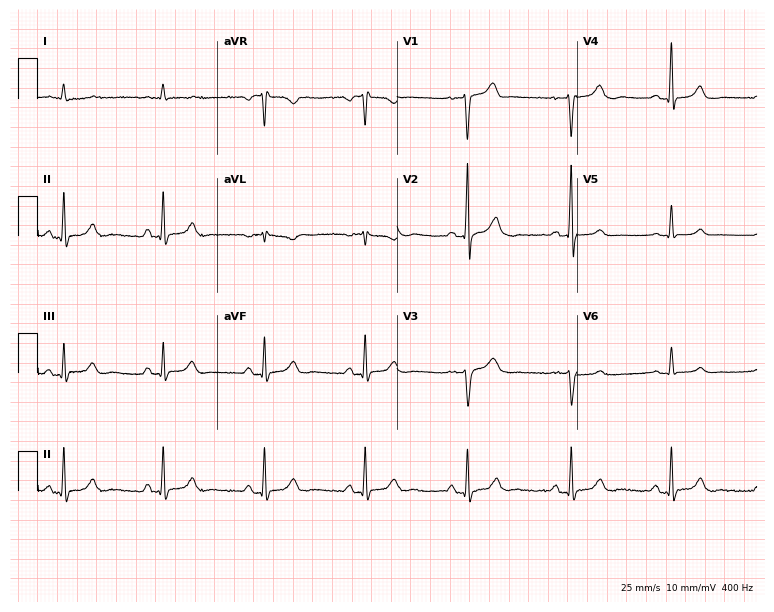
12-lead ECG from a male, 59 years old. Screened for six findings — first-degree AV block, right bundle branch block, left bundle branch block, sinus bradycardia, atrial fibrillation, sinus tachycardia — none is recorded.